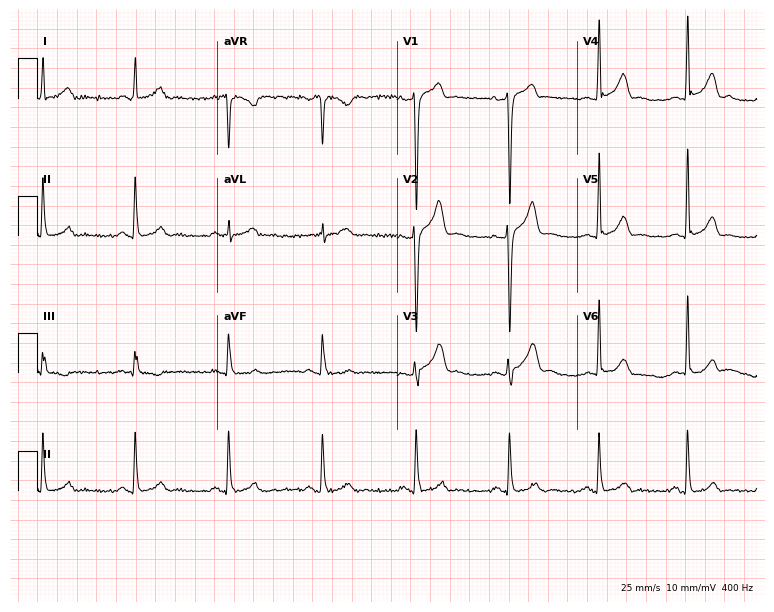
Resting 12-lead electrocardiogram. Patient: a male, 30 years old. None of these six findings is recorded: first-degree AV block, right bundle branch block, left bundle branch block, sinus bradycardia, atrial fibrillation, sinus tachycardia. Findings outside these six are not listed.